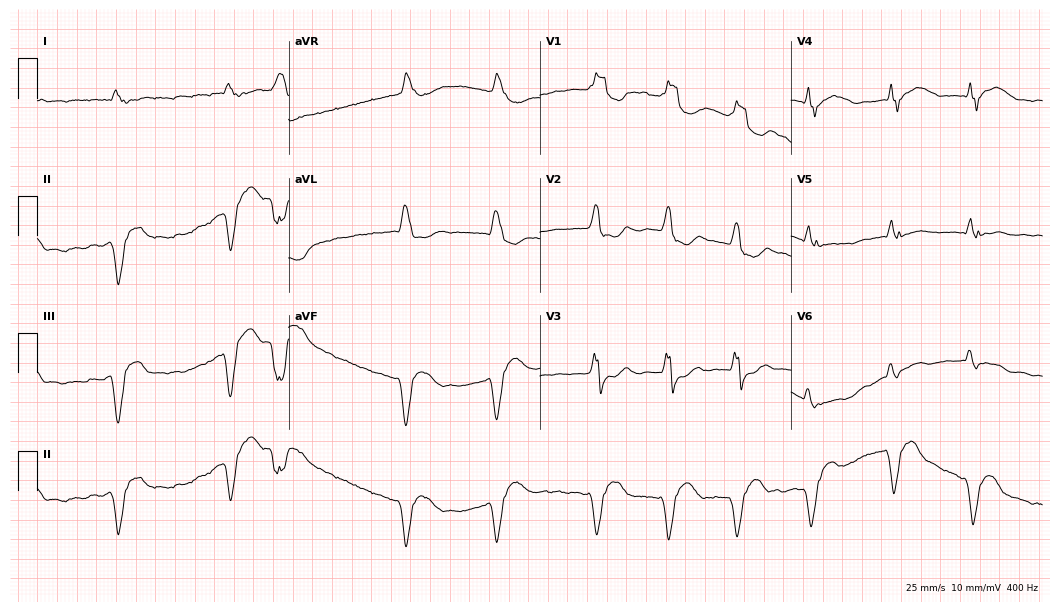
12-lead ECG from a male patient, 79 years old (10.2-second recording at 400 Hz). Shows right bundle branch block, atrial fibrillation.